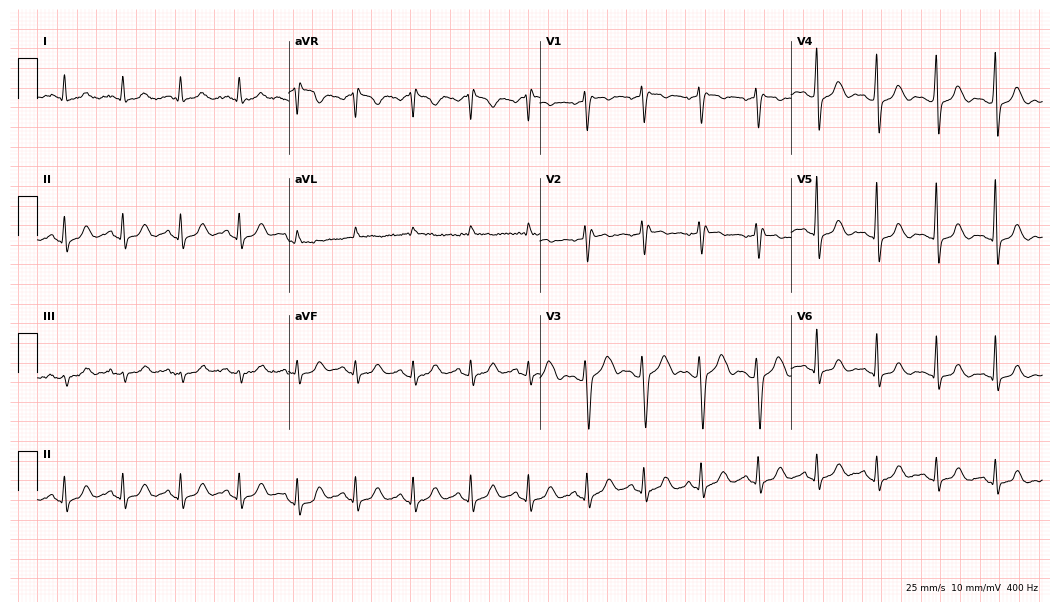
ECG (10.2-second recording at 400 Hz) — a female, 54 years old. Findings include sinus tachycardia (a sinus rate of 100 beats per minute or more).